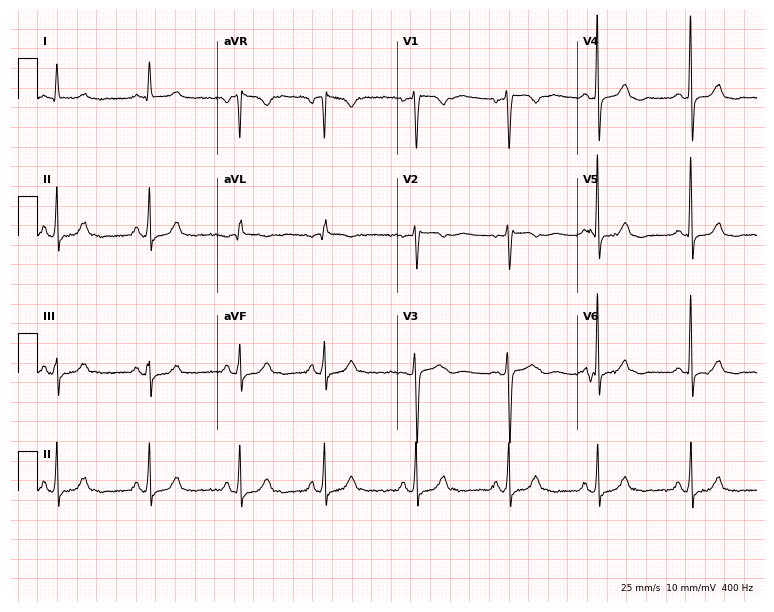
Resting 12-lead electrocardiogram. Patient: a 46-year-old woman. None of these six findings is recorded: first-degree AV block, right bundle branch block, left bundle branch block, sinus bradycardia, atrial fibrillation, sinus tachycardia.